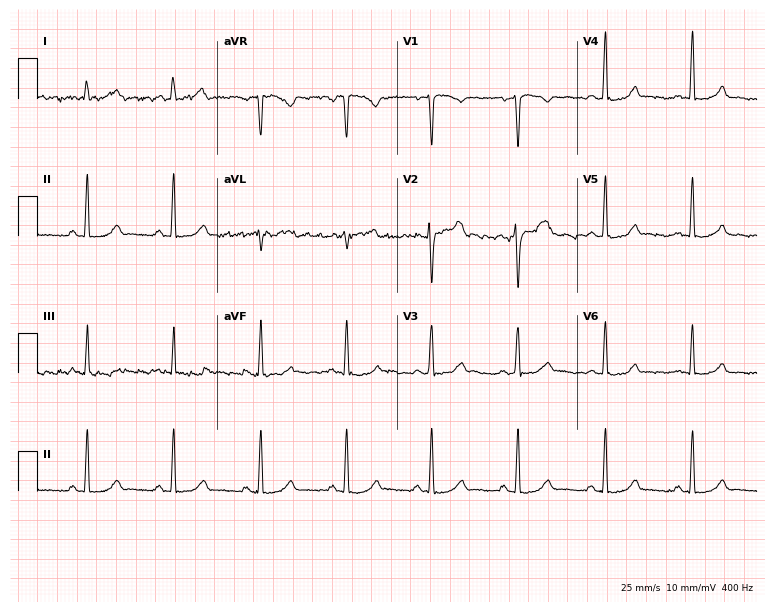
ECG (7.3-second recording at 400 Hz) — a female, 36 years old. Labelled as a normal ECG.